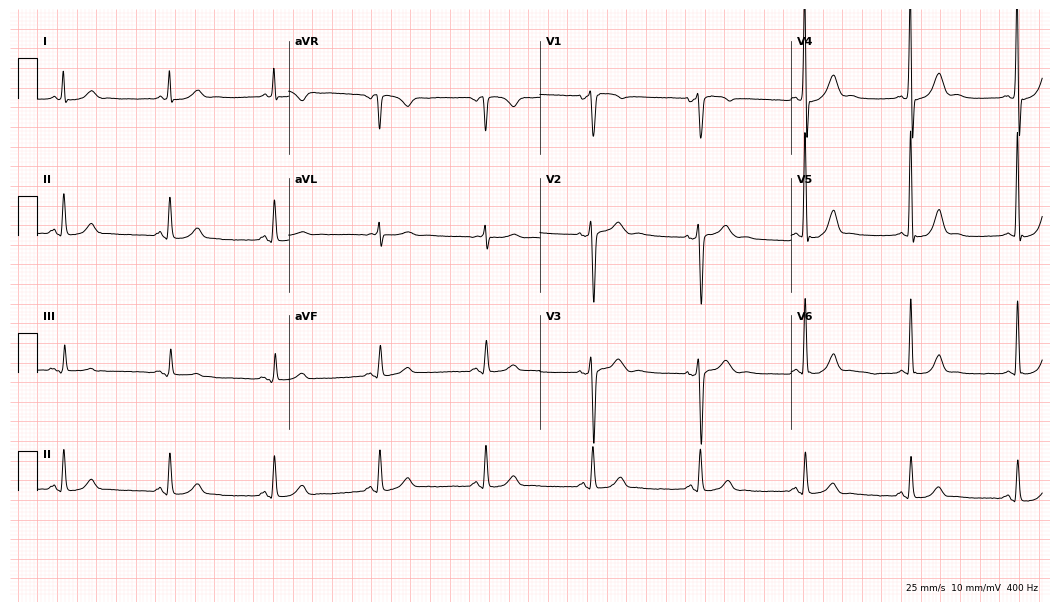
Resting 12-lead electrocardiogram (10.2-second recording at 400 Hz). Patient: a man, 48 years old. Read as a normal ECG.